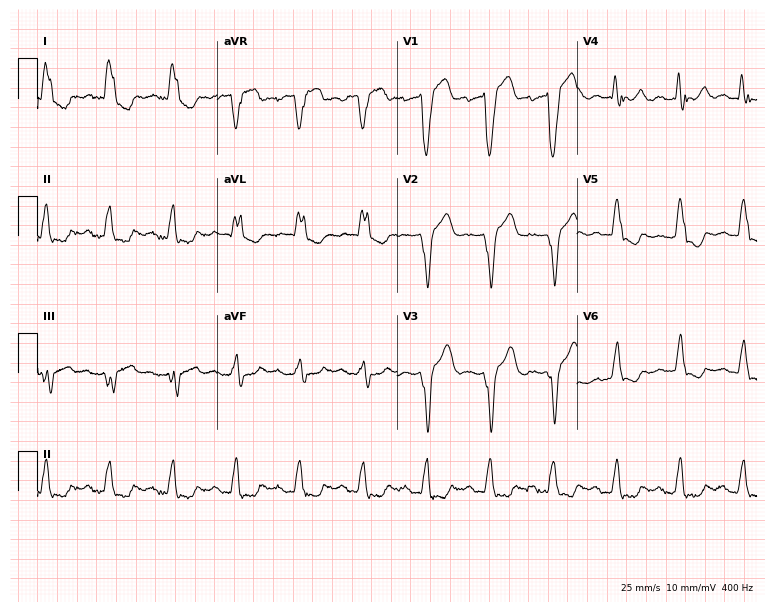
Electrocardiogram, a woman, 78 years old. Interpretation includes left bundle branch block.